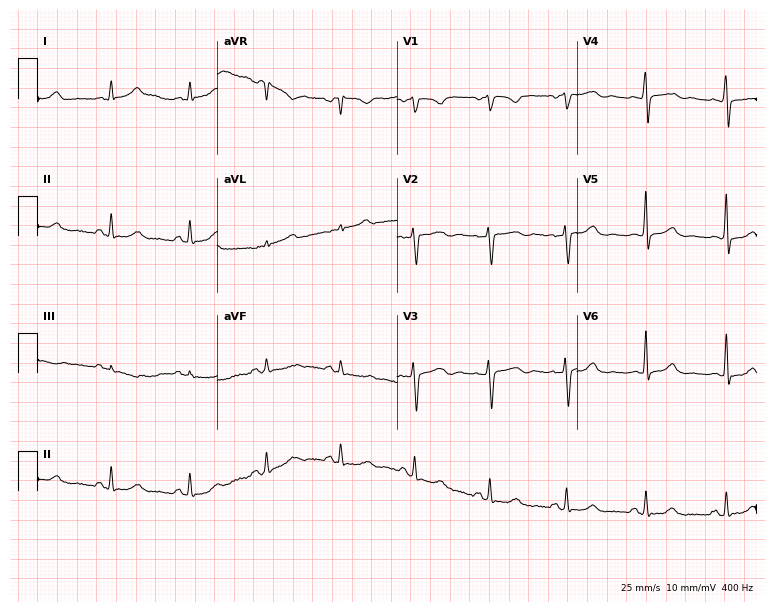
ECG (7.3-second recording at 400 Hz) — a female, 42 years old. Screened for six findings — first-degree AV block, right bundle branch block, left bundle branch block, sinus bradycardia, atrial fibrillation, sinus tachycardia — none is recorded. Findings outside these six are not listed.